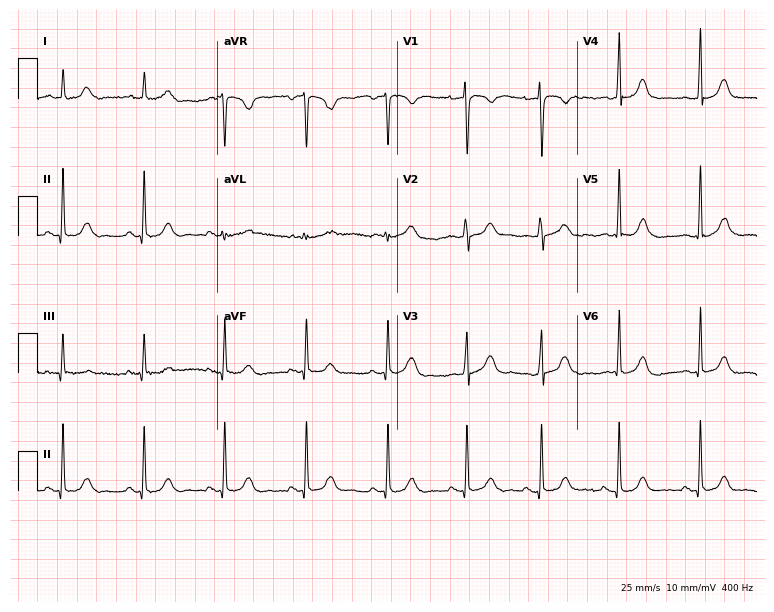
Resting 12-lead electrocardiogram. Patient: a 26-year-old female. Read as a normal ECG.